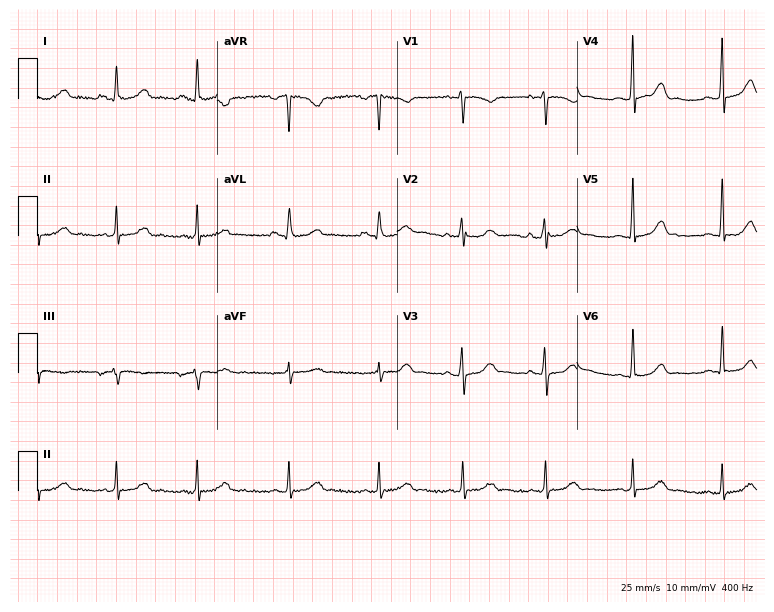
ECG — a 28-year-old female patient. Labelled as a normal ECG.